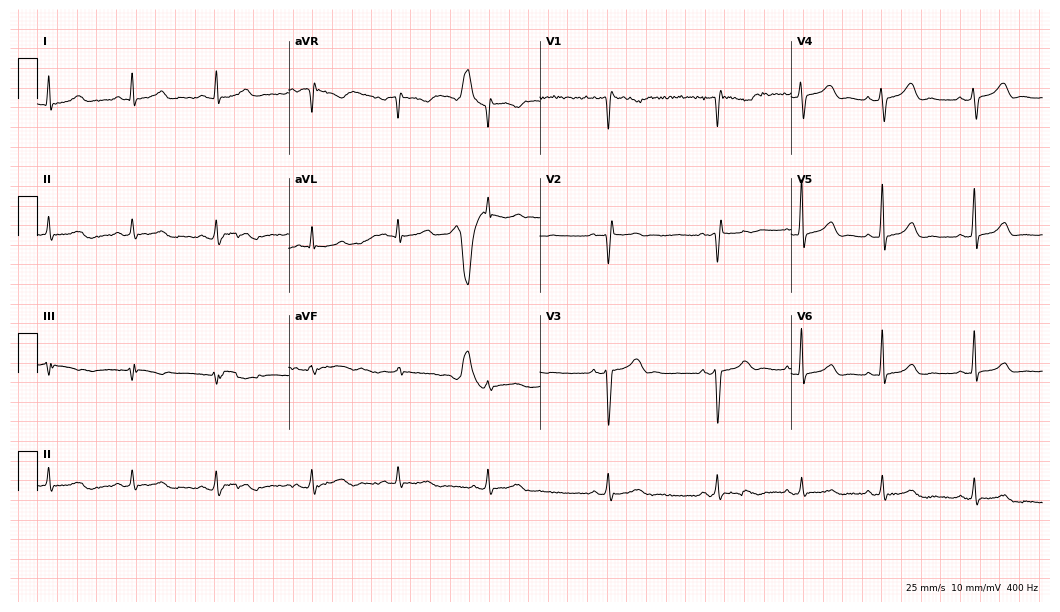
Resting 12-lead electrocardiogram (10.2-second recording at 400 Hz). Patient: a female, 35 years old. None of these six findings is recorded: first-degree AV block, right bundle branch block, left bundle branch block, sinus bradycardia, atrial fibrillation, sinus tachycardia. Other findings, if any, are not listed.